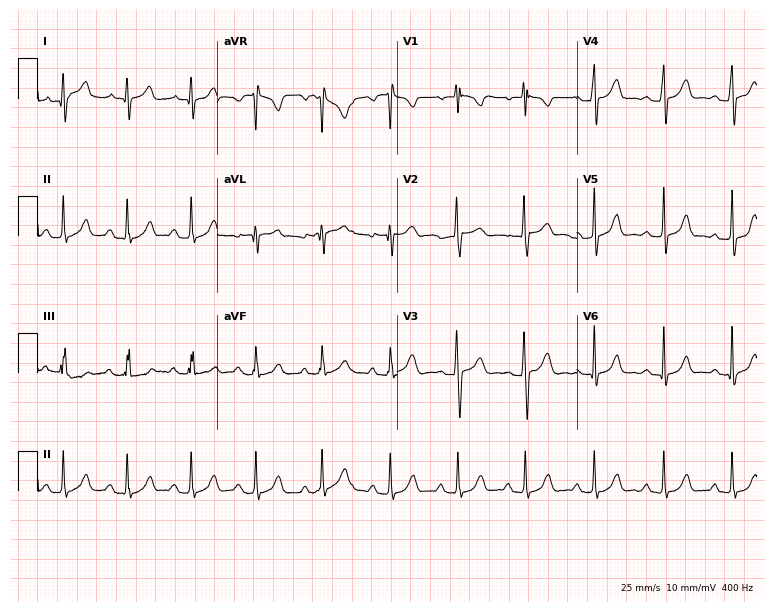
Electrocardiogram, a female patient, 24 years old. Overall reading on record: normal ECG.